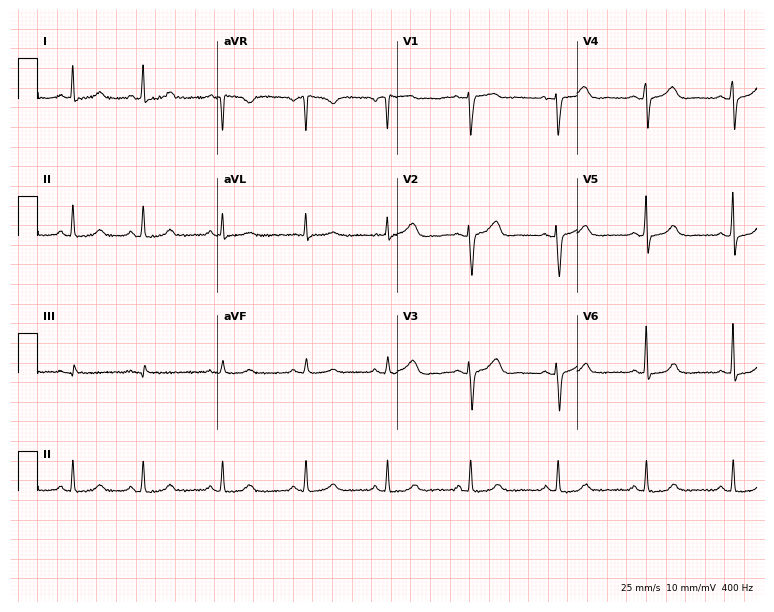
12-lead ECG from a 46-year-old female patient (7.3-second recording at 400 Hz). No first-degree AV block, right bundle branch block (RBBB), left bundle branch block (LBBB), sinus bradycardia, atrial fibrillation (AF) or sinus tachycardia recorded for this tracing. Only these six findings were labelled.